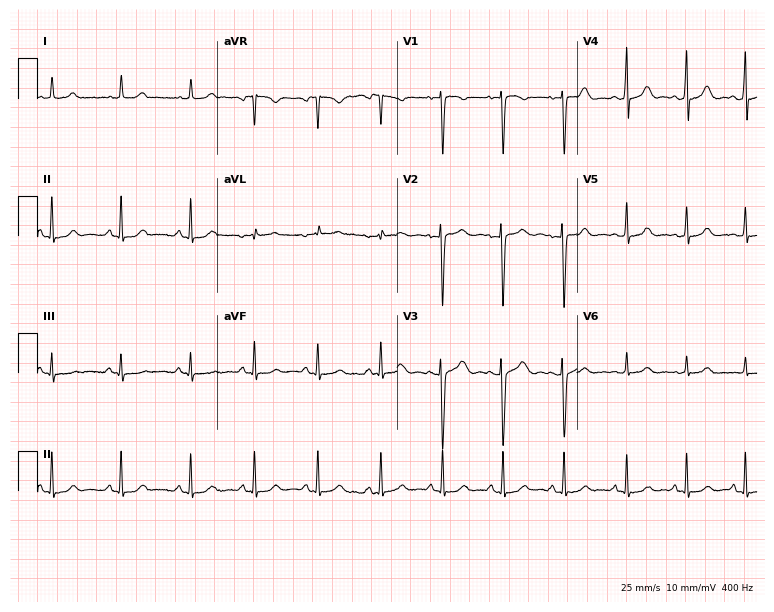
Standard 12-lead ECG recorded from an 18-year-old female. Read as a normal ECG.